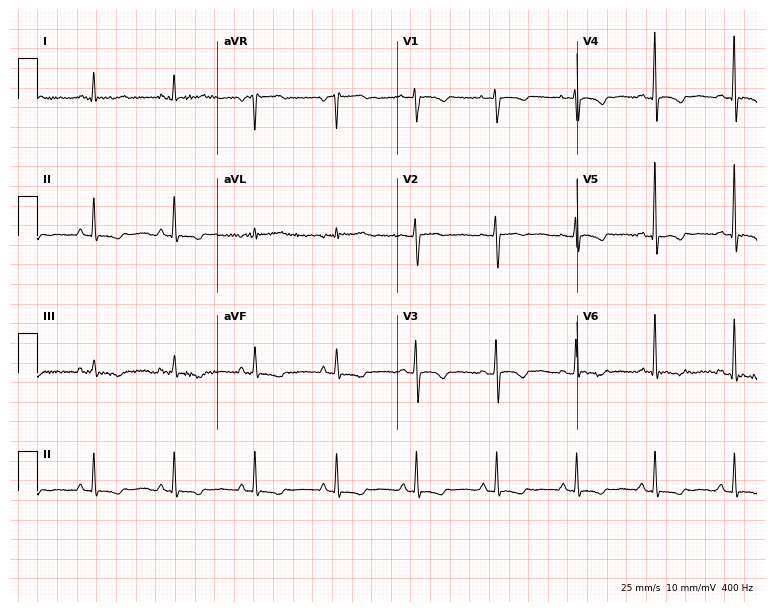
Electrocardiogram (7.3-second recording at 400 Hz), a female patient, 62 years old. Of the six screened findings (first-degree AV block, right bundle branch block, left bundle branch block, sinus bradycardia, atrial fibrillation, sinus tachycardia), none is recorded.